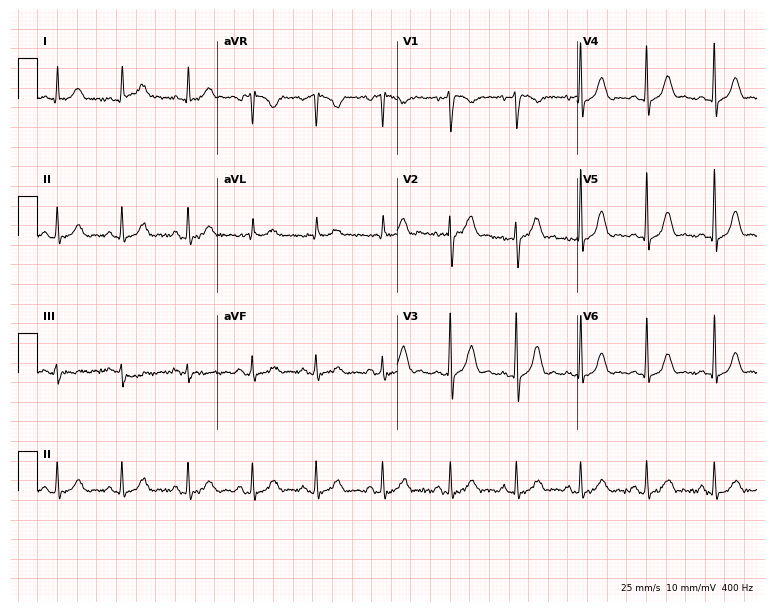
ECG (7.3-second recording at 400 Hz) — a 41-year-old female patient. Screened for six findings — first-degree AV block, right bundle branch block, left bundle branch block, sinus bradycardia, atrial fibrillation, sinus tachycardia — none is recorded.